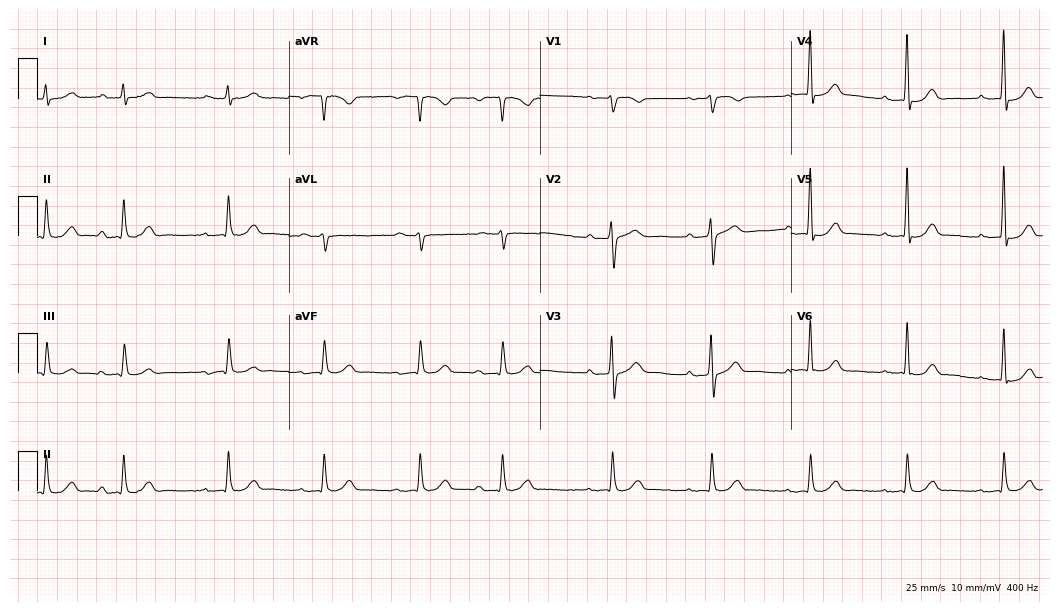
Resting 12-lead electrocardiogram. Patient: a male, 76 years old. None of these six findings is recorded: first-degree AV block, right bundle branch block (RBBB), left bundle branch block (LBBB), sinus bradycardia, atrial fibrillation (AF), sinus tachycardia.